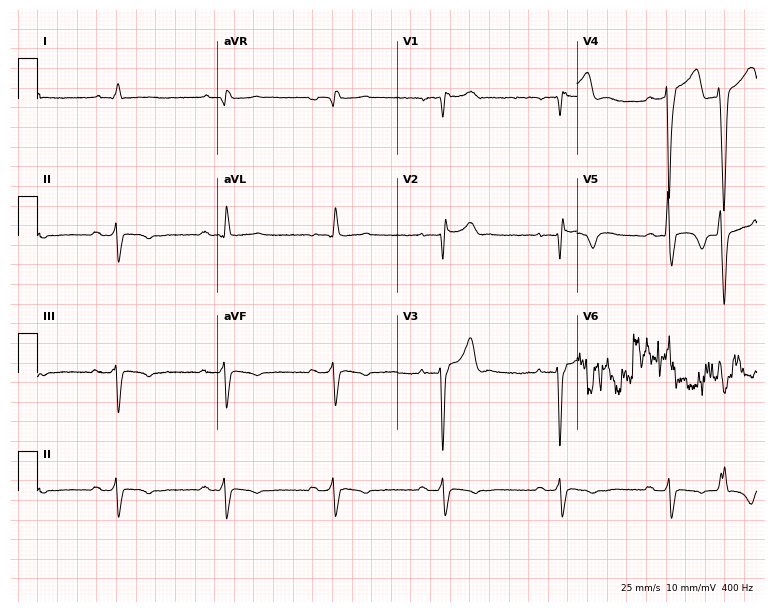
Standard 12-lead ECG recorded from a male patient, 37 years old (7.3-second recording at 400 Hz). The tracing shows right bundle branch block (RBBB).